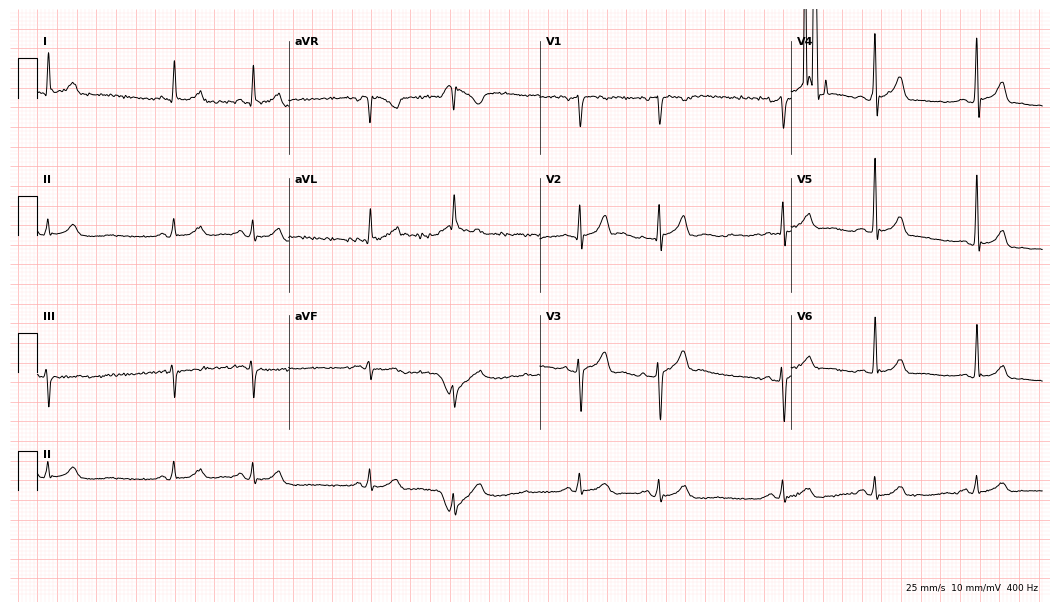
12-lead ECG from a male, 59 years old (10.2-second recording at 400 Hz). Recorded interpretation: within normal limits.